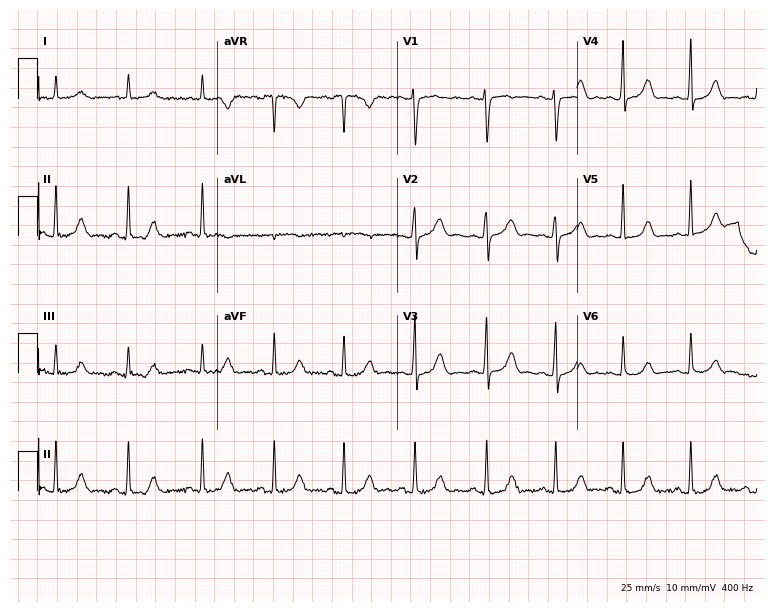
Electrocardiogram (7.3-second recording at 400 Hz), a 34-year-old female. Overall reading on record: normal ECG.